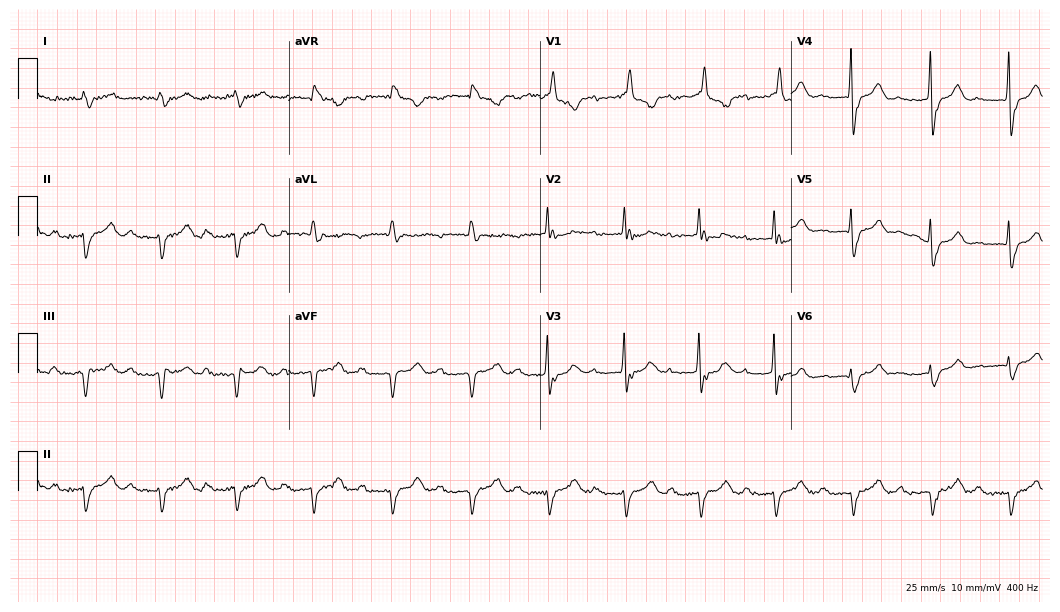
ECG (10.2-second recording at 400 Hz) — a male, 78 years old. Screened for six findings — first-degree AV block, right bundle branch block, left bundle branch block, sinus bradycardia, atrial fibrillation, sinus tachycardia — none is recorded.